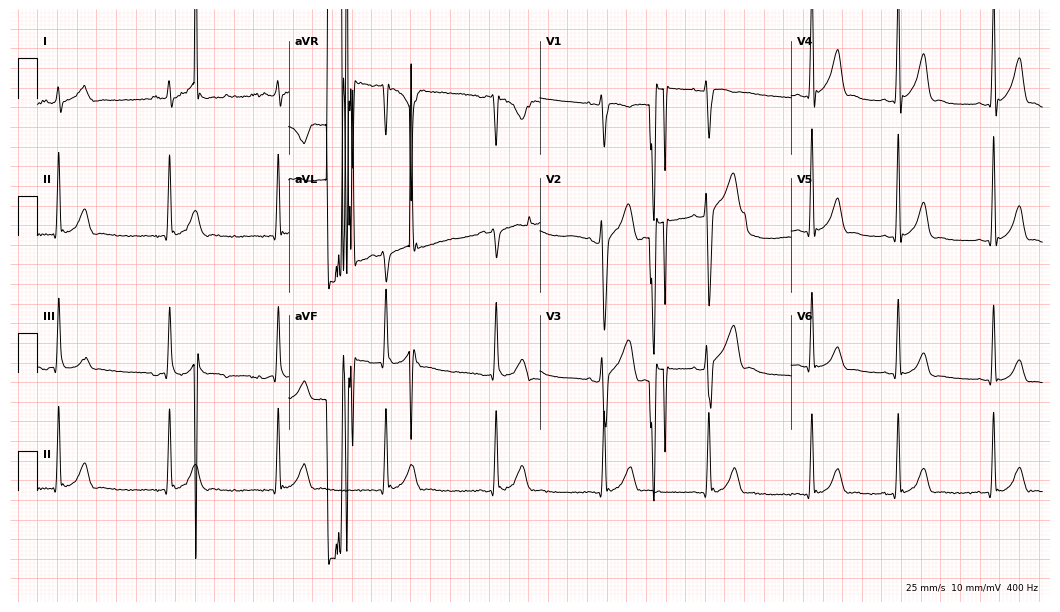
Resting 12-lead electrocardiogram. Patient: a male, 21 years old. Read as a normal ECG.